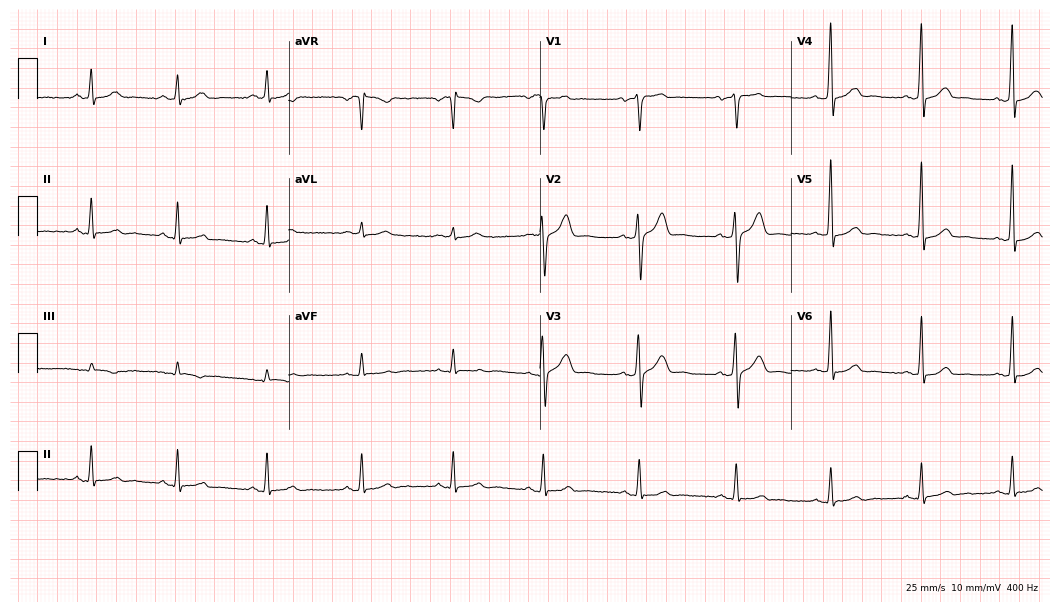
Electrocardiogram (10.2-second recording at 400 Hz), a 34-year-old female patient. Overall reading on record: normal ECG.